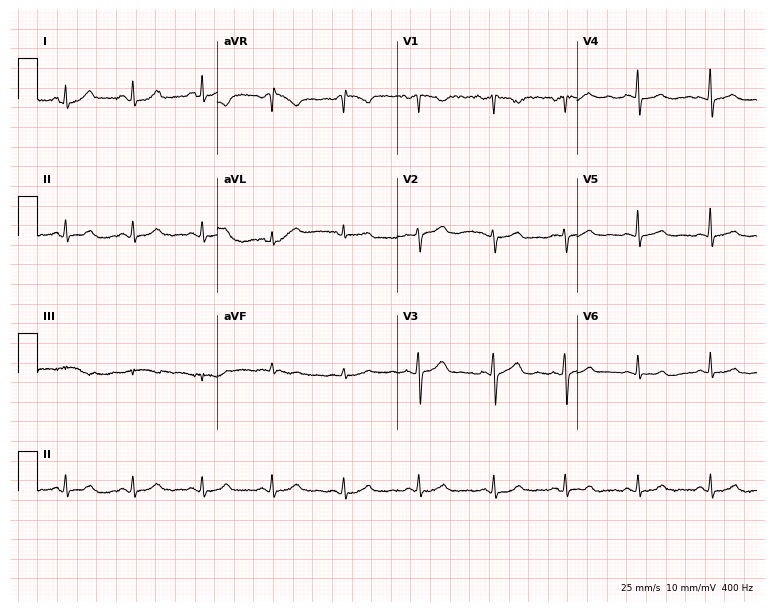
12-lead ECG from a 50-year-old female. Labelled as a normal ECG.